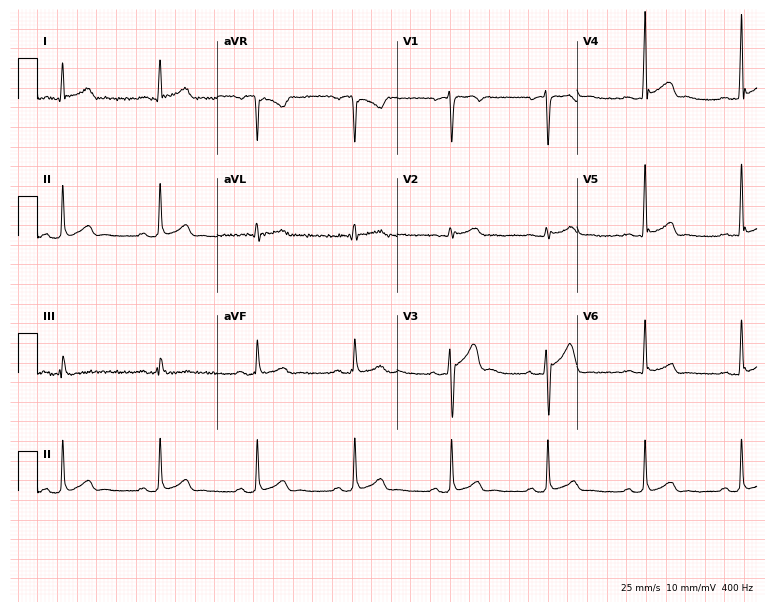
12-lead ECG (7.3-second recording at 400 Hz) from a 53-year-old male. Labelled as a normal ECG.